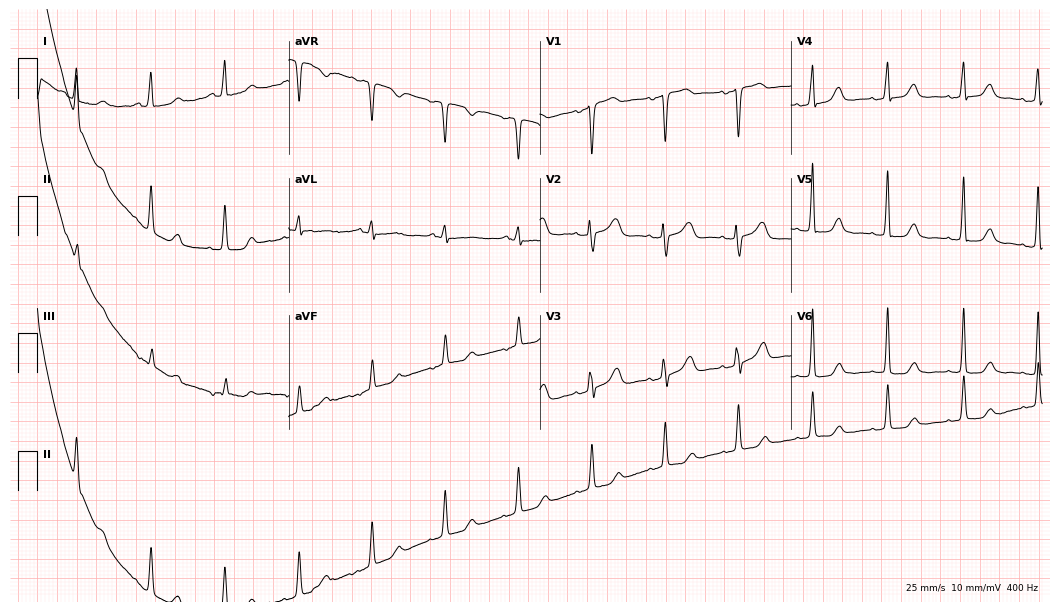
12-lead ECG from a 77-year-old female patient. No first-degree AV block, right bundle branch block, left bundle branch block, sinus bradycardia, atrial fibrillation or sinus tachycardia recorded for this tracing.